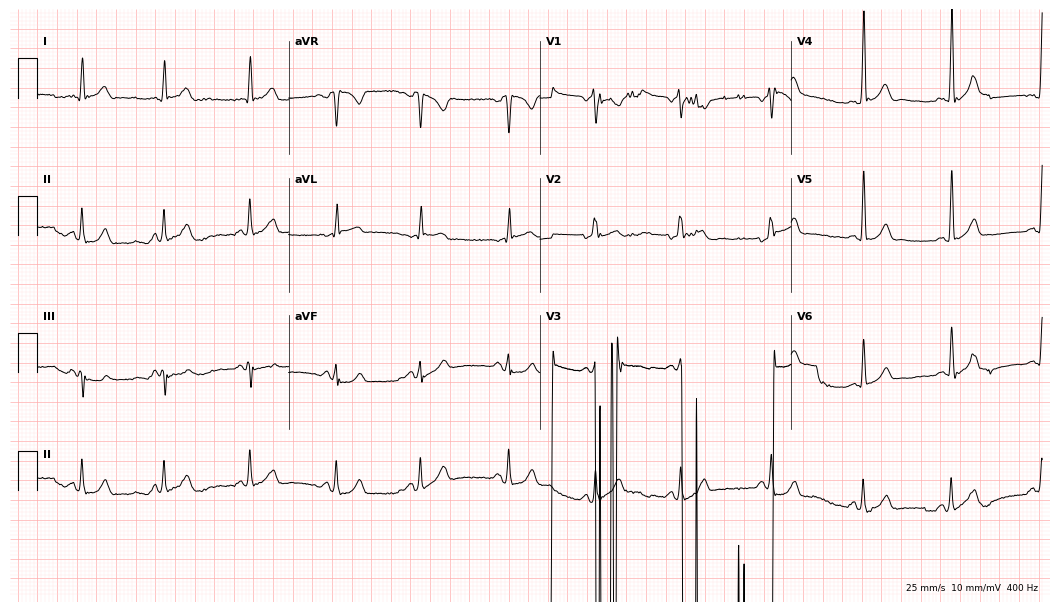
Electrocardiogram, a 36-year-old male. Of the six screened findings (first-degree AV block, right bundle branch block, left bundle branch block, sinus bradycardia, atrial fibrillation, sinus tachycardia), none is recorded. Findings outside these six are not listed.